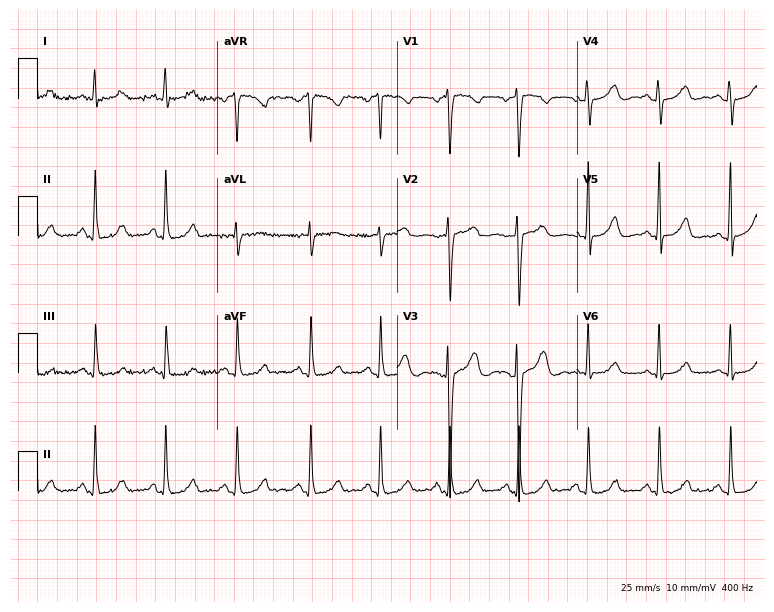
Standard 12-lead ECG recorded from a 44-year-old woman (7.3-second recording at 400 Hz). None of these six findings is recorded: first-degree AV block, right bundle branch block, left bundle branch block, sinus bradycardia, atrial fibrillation, sinus tachycardia.